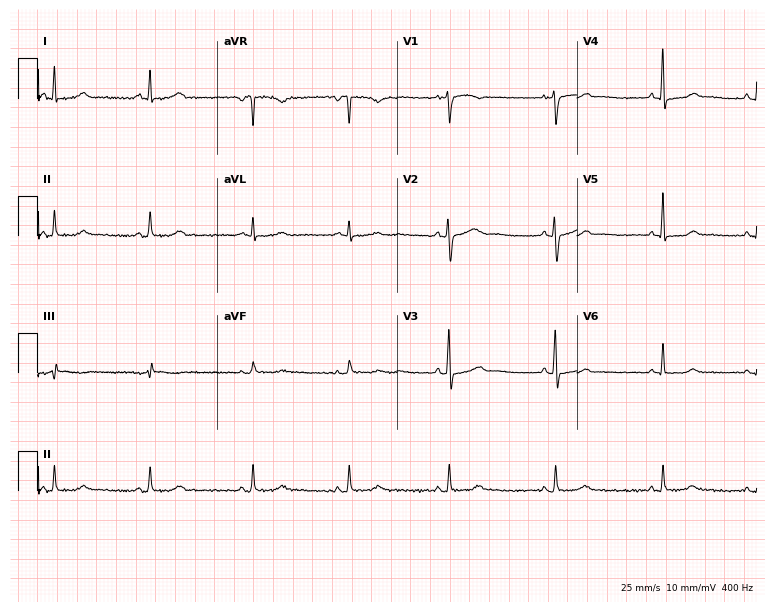
12-lead ECG from a 44-year-old female. No first-degree AV block, right bundle branch block, left bundle branch block, sinus bradycardia, atrial fibrillation or sinus tachycardia recorded for this tracing.